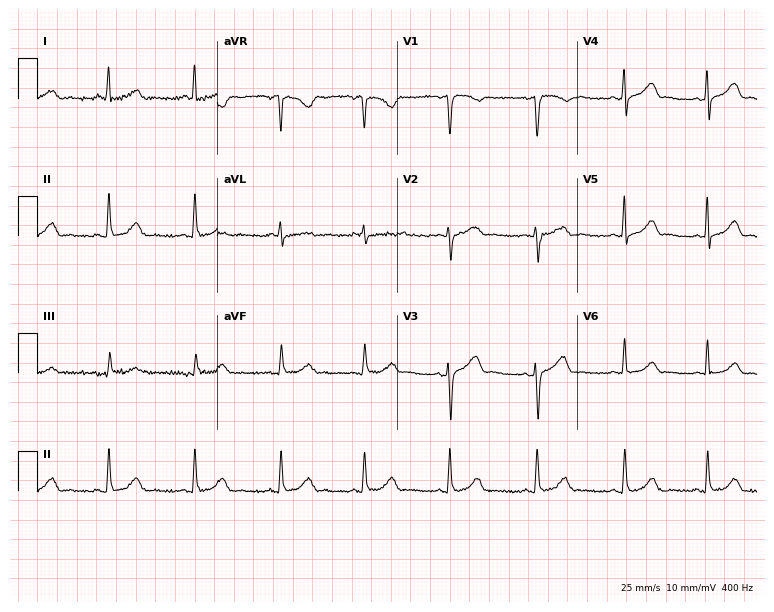
12-lead ECG from a female, 33 years old. Labelled as a normal ECG.